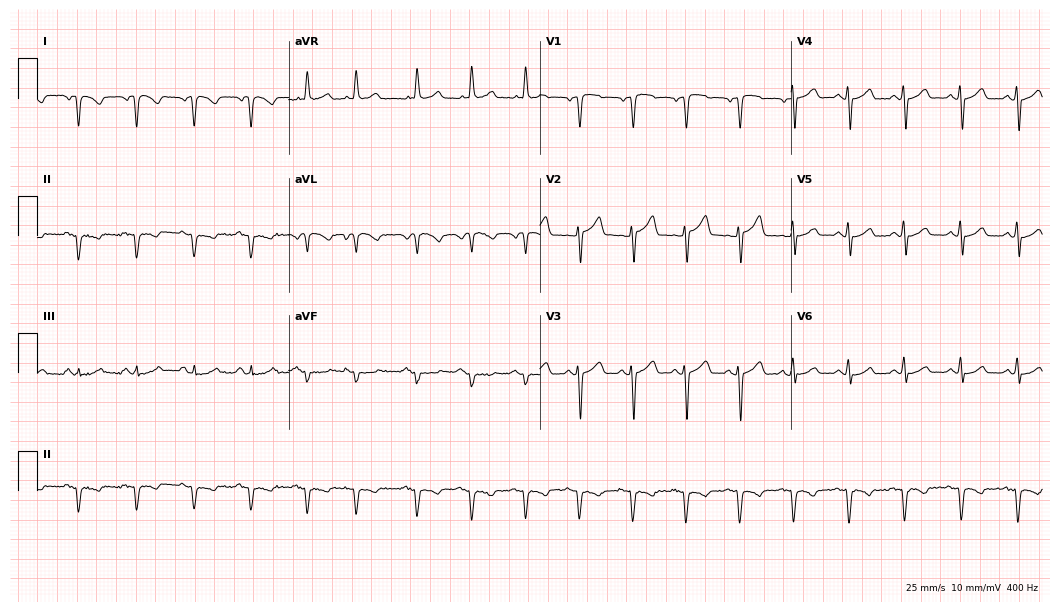
12-lead ECG from a man, 67 years old. Screened for six findings — first-degree AV block, right bundle branch block, left bundle branch block, sinus bradycardia, atrial fibrillation, sinus tachycardia — none is recorded.